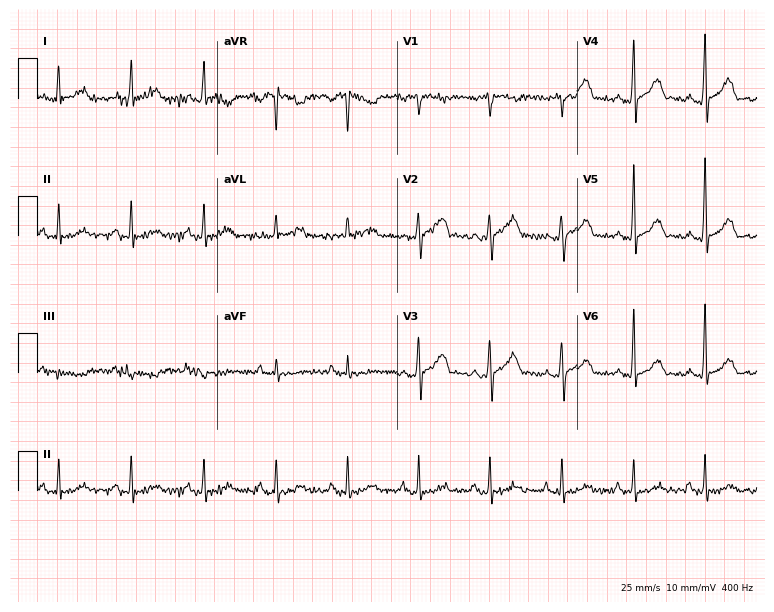
12-lead ECG (7.3-second recording at 400 Hz) from a 74-year-old woman. Screened for six findings — first-degree AV block, right bundle branch block, left bundle branch block, sinus bradycardia, atrial fibrillation, sinus tachycardia — none is recorded.